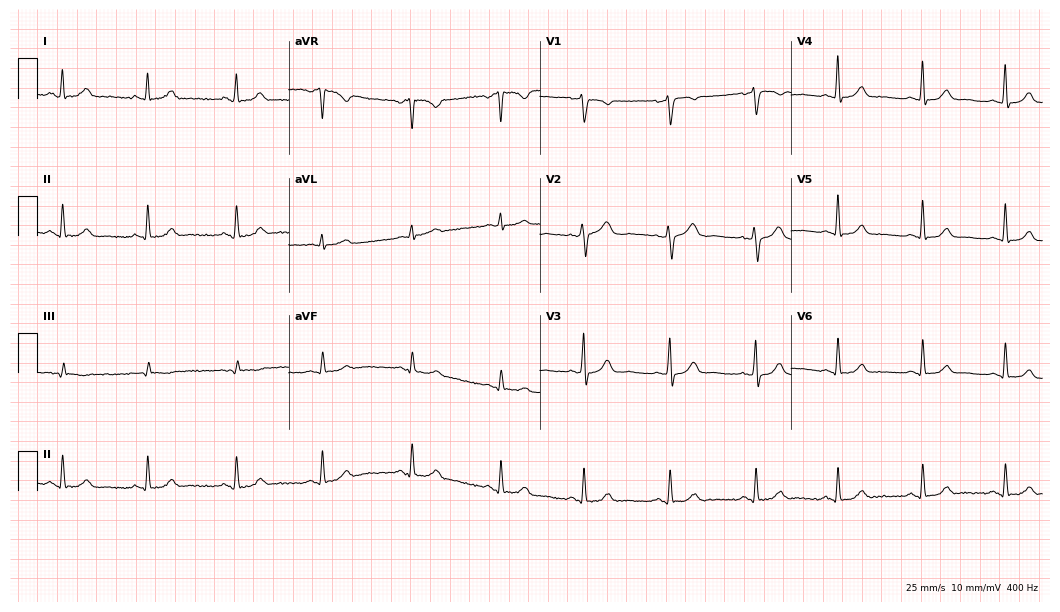
Electrocardiogram (10.2-second recording at 400 Hz), a female patient, 42 years old. Overall reading on record: normal ECG.